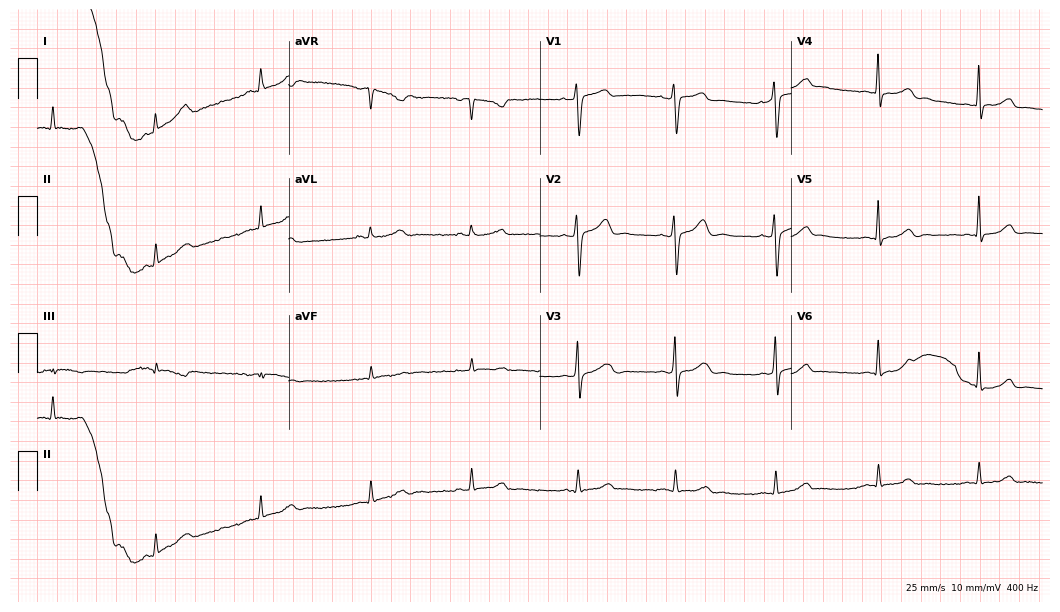
Resting 12-lead electrocardiogram. Patient: a female, 47 years old. None of these six findings is recorded: first-degree AV block, right bundle branch block (RBBB), left bundle branch block (LBBB), sinus bradycardia, atrial fibrillation (AF), sinus tachycardia. Findings outside these six are not listed.